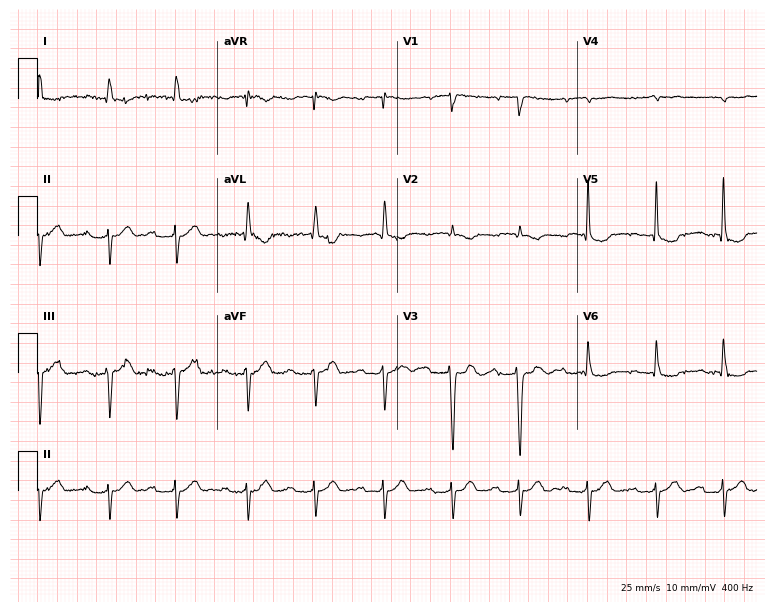
Resting 12-lead electrocardiogram (7.3-second recording at 400 Hz). Patient: an 85-year-old woman. The tracing shows first-degree AV block.